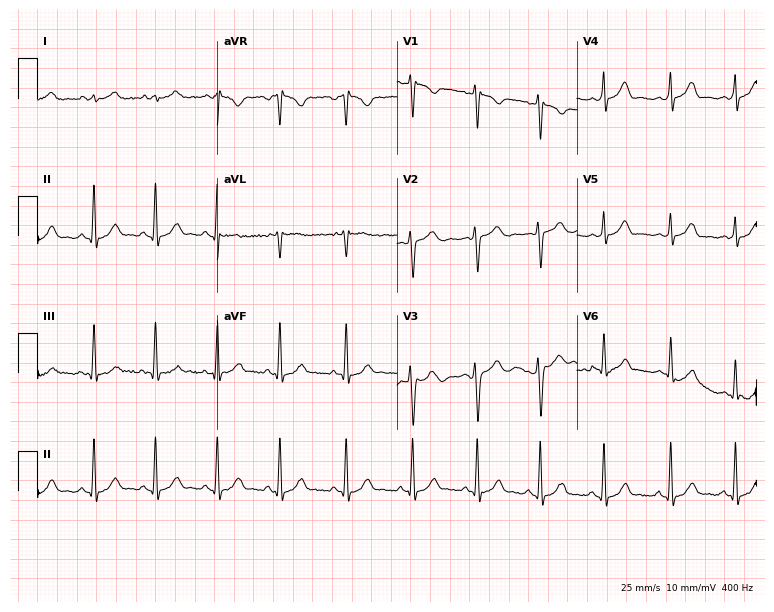
Standard 12-lead ECG recorded from a female patient, 25 years old. None of these six findings is recorded: first-degree AV block, right bundle branch block, left bundle branch block, sinus bradycardia, atrial fibrillation, sinus tachycardia.